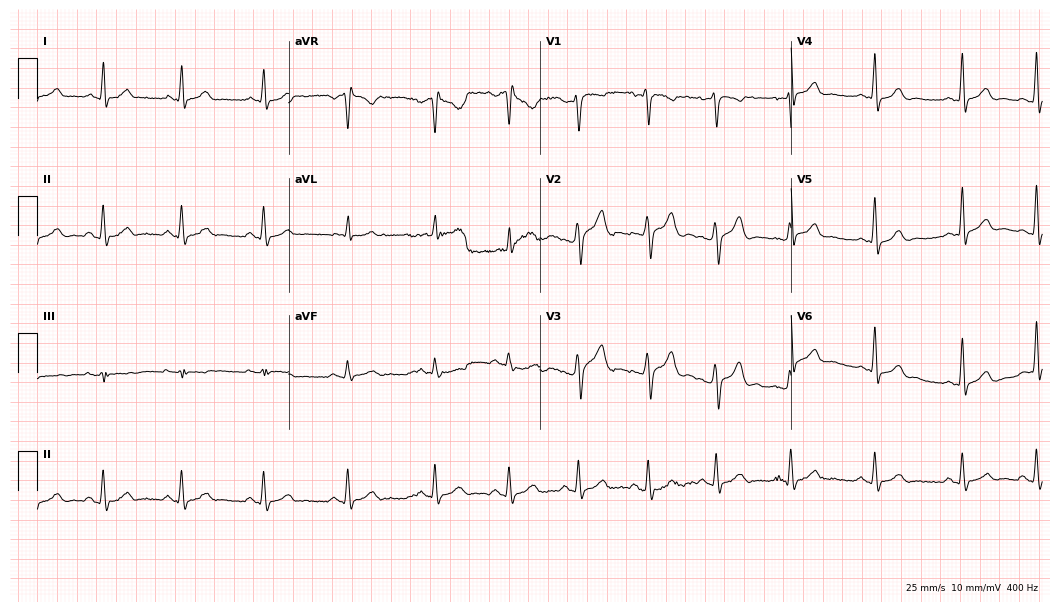
ECG — a male patient, 32 years old. Screened for six findings — first-degree AV block, right bundle branch block, left bundle branch block, sinus bradycardia, atrial fibrillation, sinus tachycardia — none is recorded. Findings outside these six are not listed.